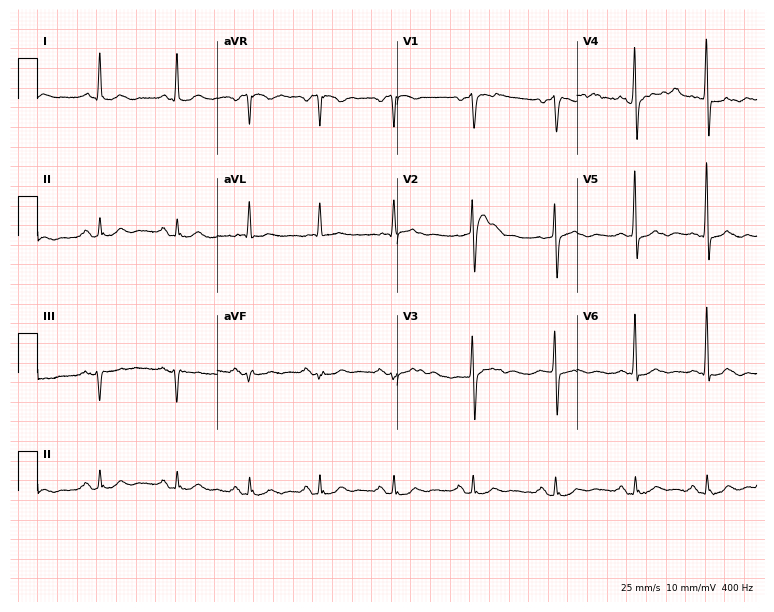
12-lead ECG from a 60-year-old male patient (7.3-second recording at 400 Hz). Recorded interpretation: within normal limits.